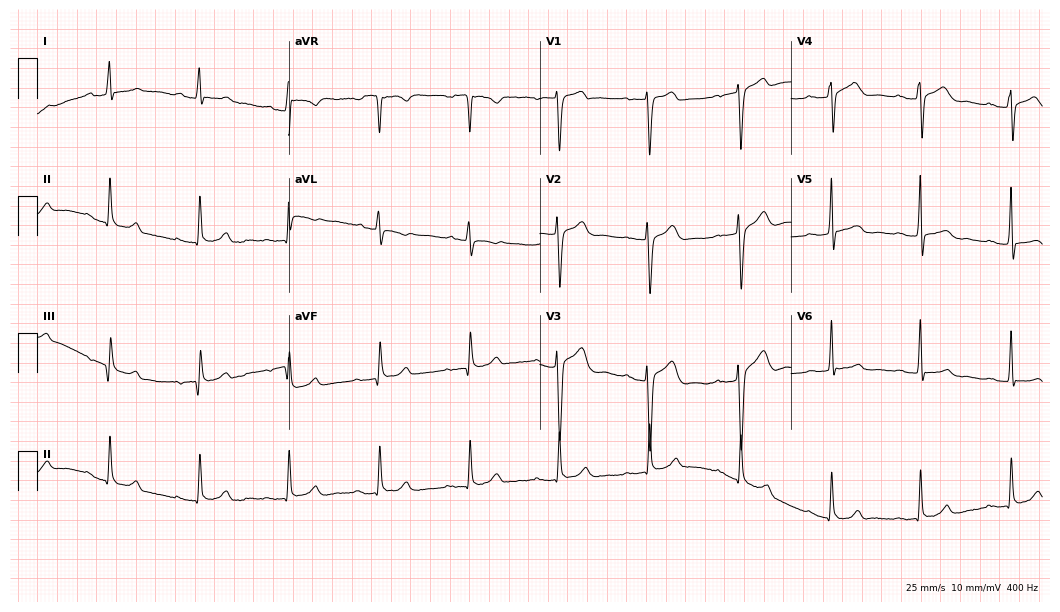
Standard 12-lead ECG recorded from a 59-year-old male patient (10.2-second recording at 400 Hz). The tracing shows first-degree AV block.